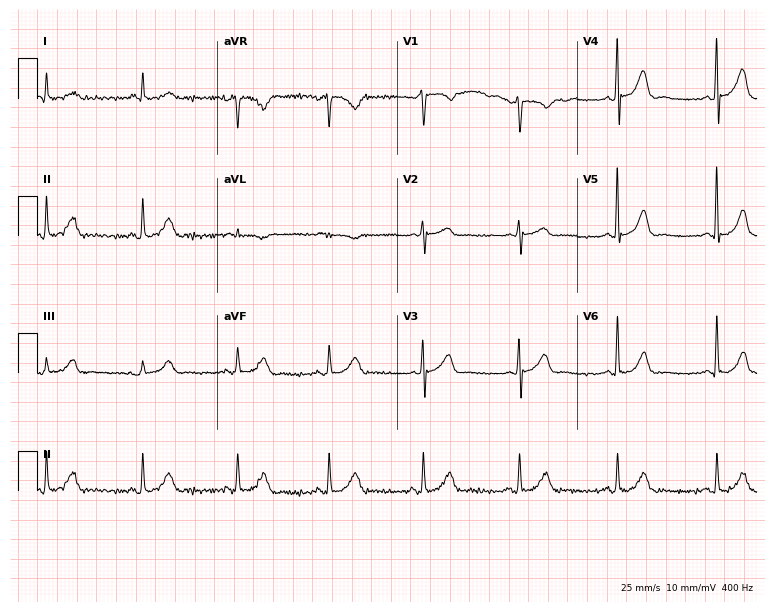
ECG — a 50-year-old male. Labelled as a normal ECG.